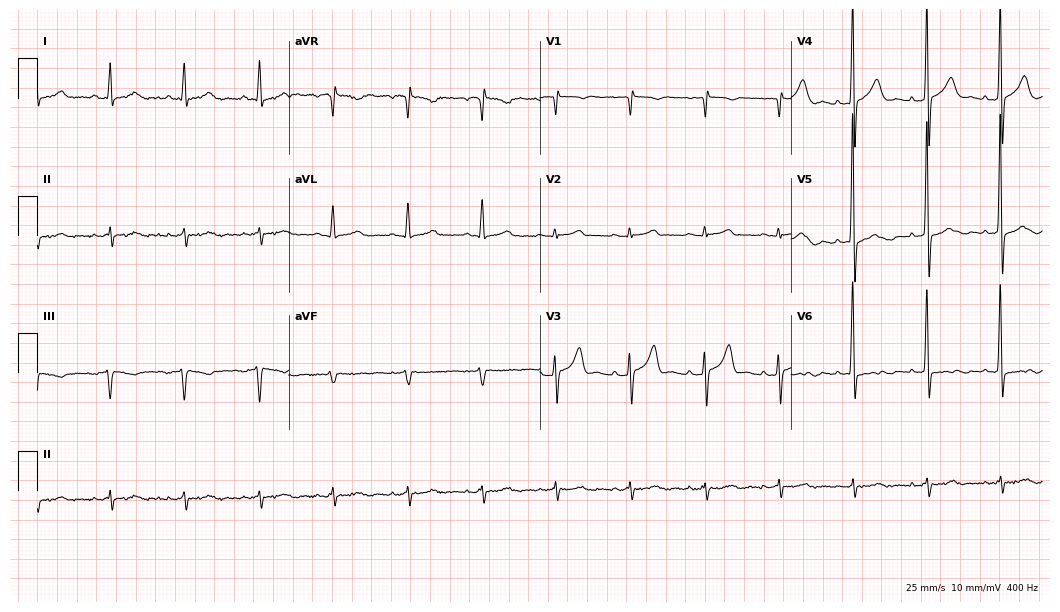
Electrocardiogram (10.2-second recording at 400 Hz), a 62-year-old male. Of the six screened findings (first-degree AV block, right bundle branch block, left bundle branch block, sinus bradycardia, atrial fibrillation, sinus tachycardia), none is recorded.